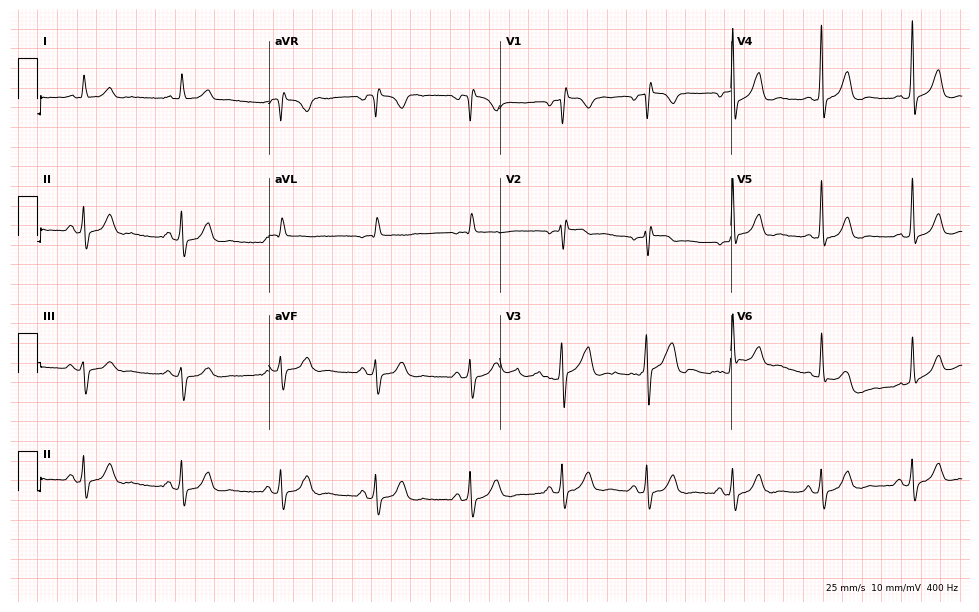
12-lead ECG from a 67-year-old male. Labelled as a normal ECG.